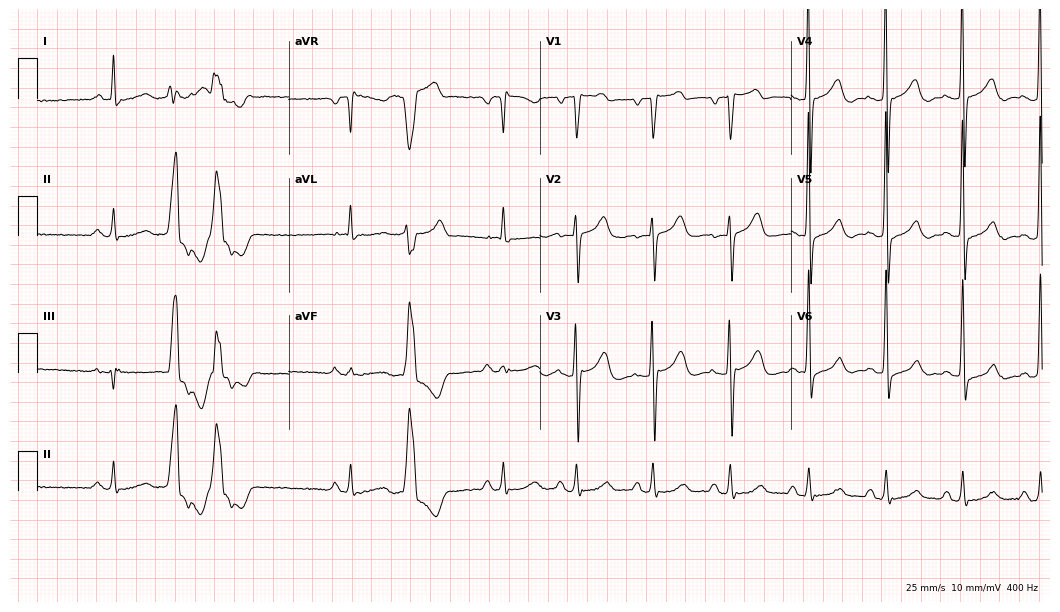
ECG (10.2-second recording at 400 Hz) — a male, 75 years old. Screened for six findings — first-degree AV block, right bundle branch block, left bundle branch block, sinus bradycardia, atrial fibrillation, sinus tachycardia — none is recorded. Only these six findings were labelled.